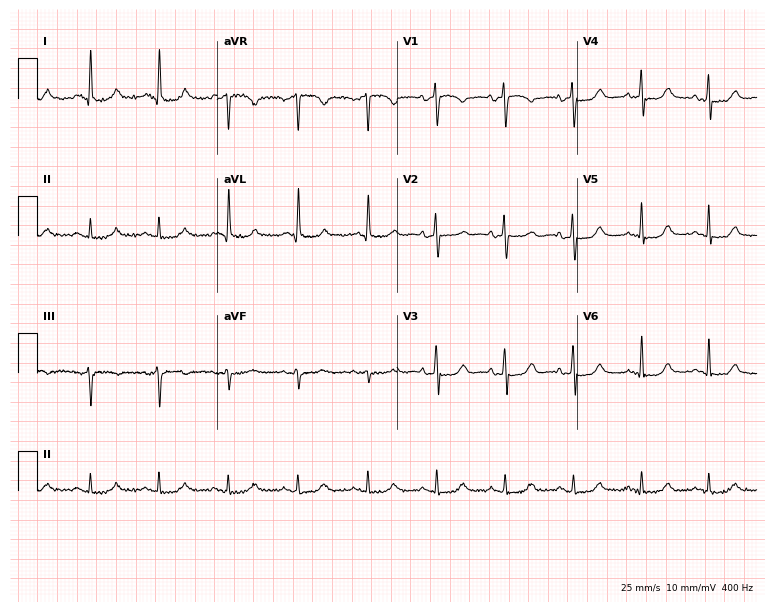
Standard 12-lead ECG recorded from a 70-year-old woman (7.3-second recording at 400 Hz). Read as a normal ECG.